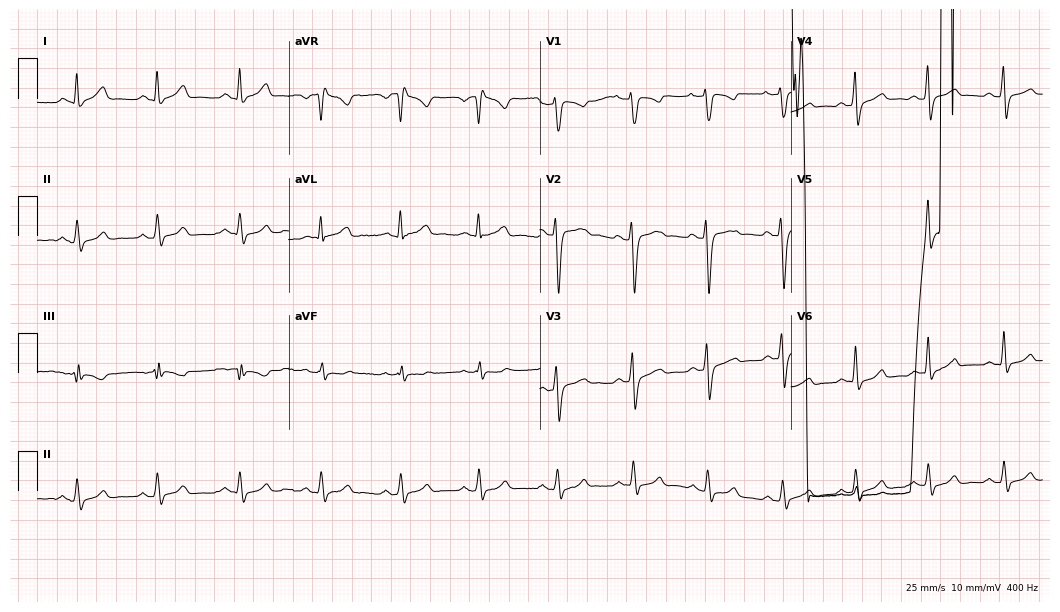
Standard 12-lead ECG recorded from a man, 25 years old (10.2-second recording at 400 Hz). None of these six findings is recorded: first-degree AV block, right bundle branch block, left bundle branch block, sinus bradycardia, atrial fibrillation, sinus tachycardia. Only these six findings were labelled.